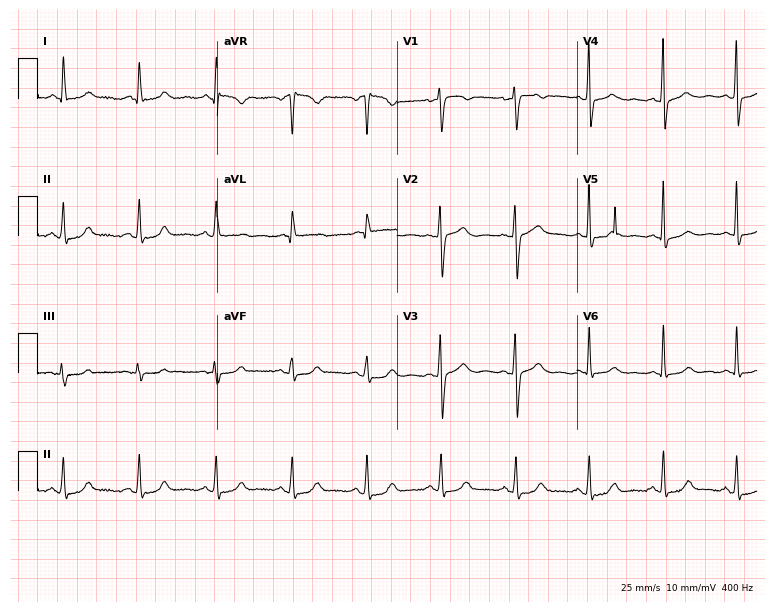
ECG — a female, 58 years old. Labelled as a normal ECG.